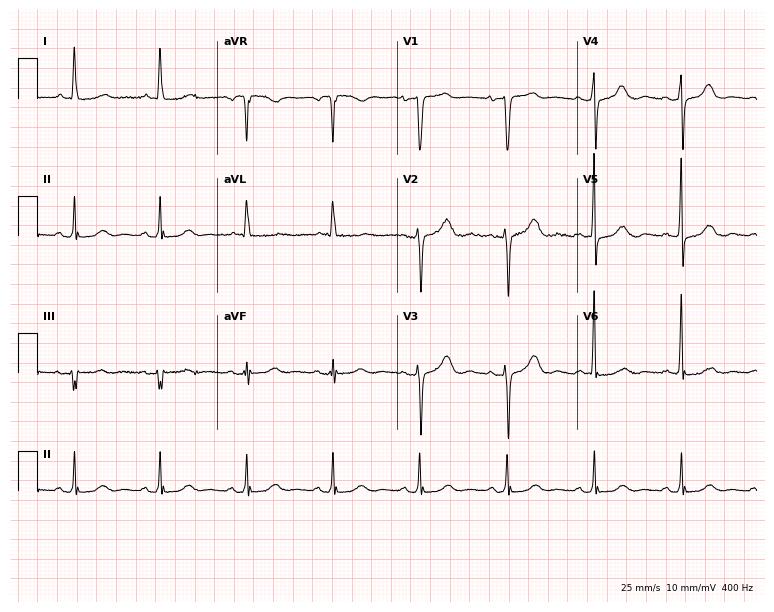
12-lead ECG from a male, 72 years old (7.3-second recording at 400 Hz). Recorded interpretation: within normal limits.